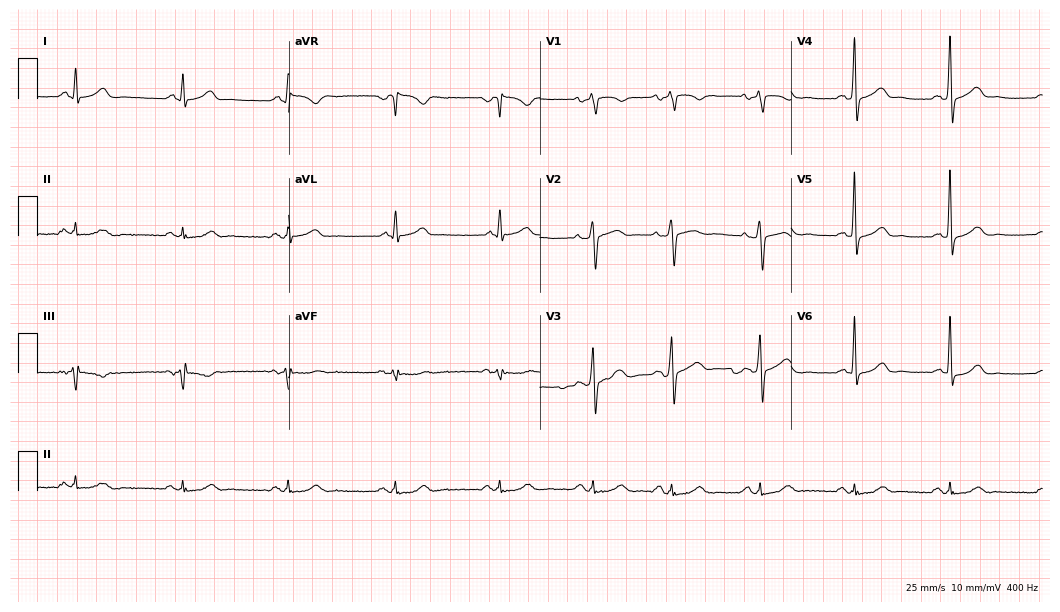
Resting 12-lead electrocardiogram. Patient: a man, 55 years old. Read as a normal ECG.